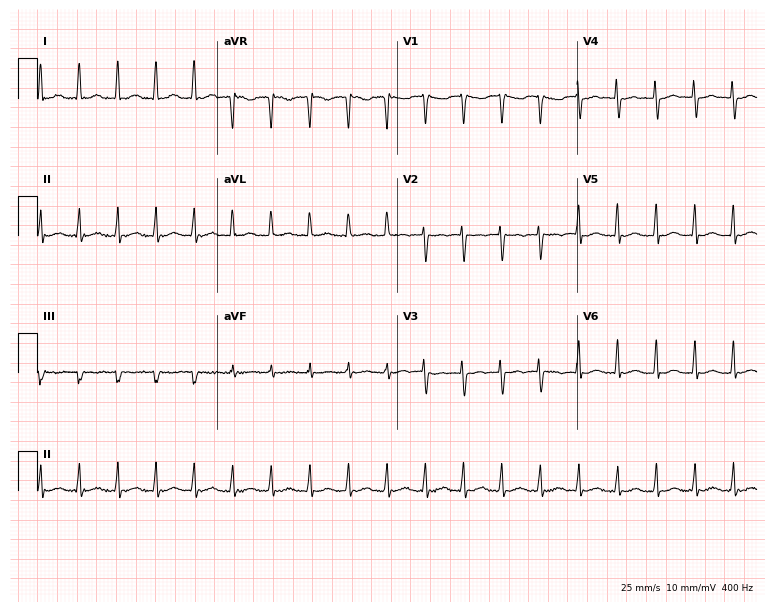
ECG — a 45-year-old female patient. Screened for six findings — first-degree AV block, right bundle branch block (RBBB), left bundle branch block (LBBB), sinus bradycardia, atrial fibrillation (AF), sinus tachycardia — none is recorded.